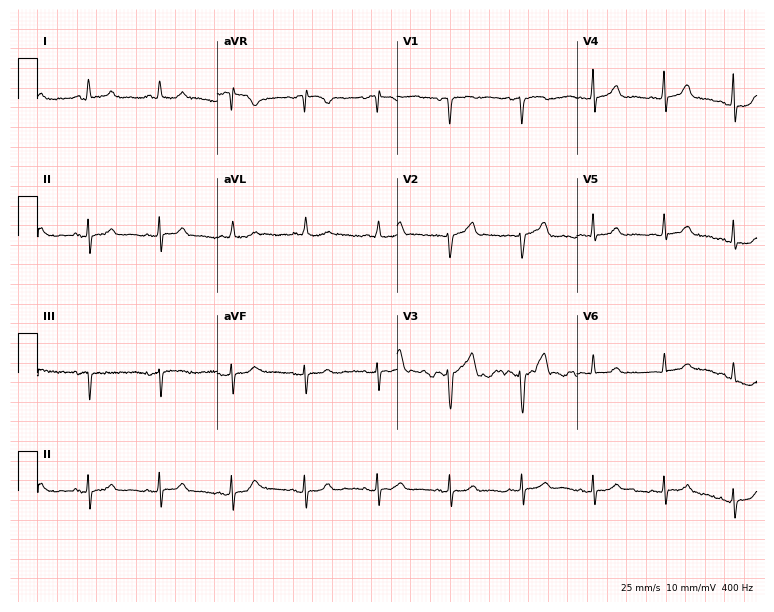
12-lead ECG from a woman, 67 years old (7.3-second recording at 400 Hz). No first-degree AV block, right bundle branch block, left bundle branch block, sinus bradycardia, atrial fibrillation or sinus tachycardia recorded for this tracing. Only these six findings were labelled.